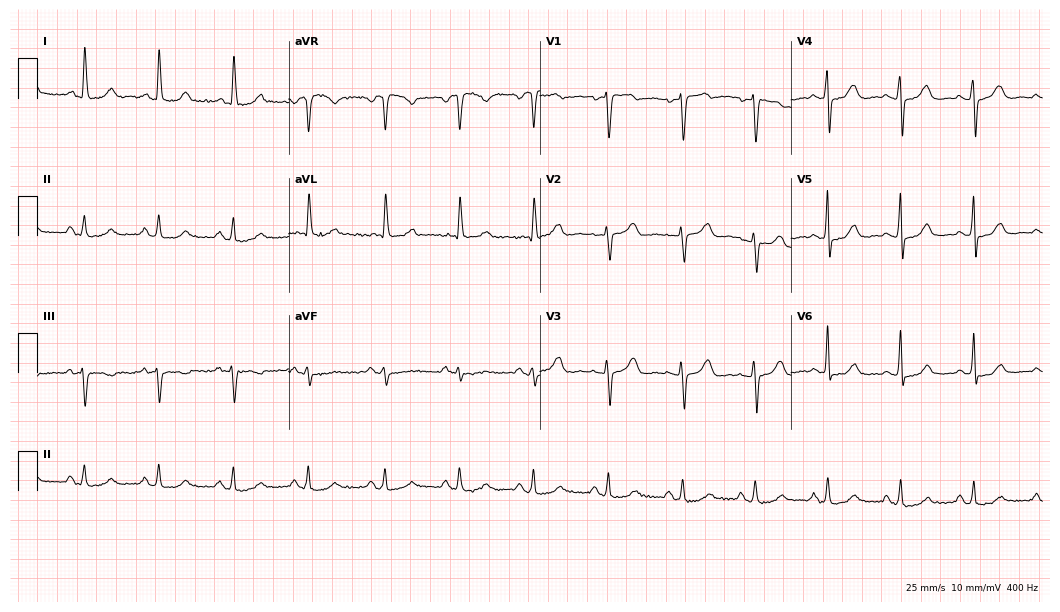
ECG (10.2-second recording at 400 Hz) — a female patient, 73 years old. Labelled as a normal ECG.